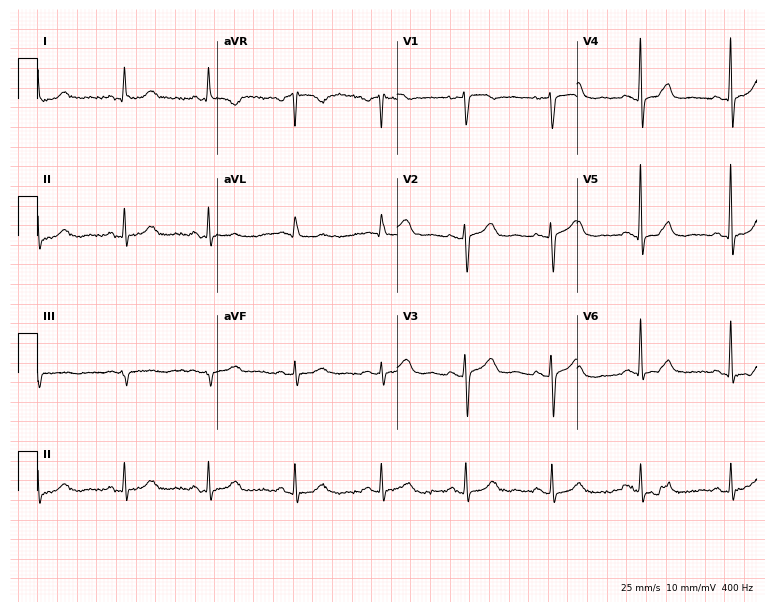
Resting 12-lead electrocardiogram. Patient: a female, 72 years old. None of these six findings is recorded: first-degree AV block, right bundle branch block (RBBB), left bundle branch block (LBBB), sinus bradycardia, atrial fibrillation (AF), sinus tachycardia. Findings outside these six are not listed.